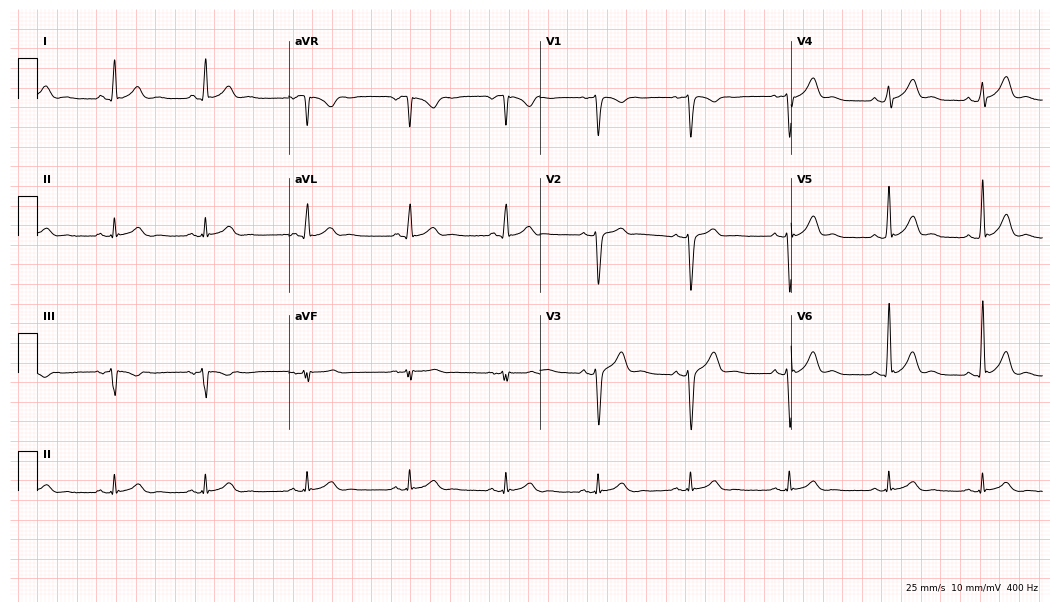
Resting 12-lead electrocardiogram (10.2-second recording at 400 Hz). Patient: a 29-year-old man. Read as a normal ECG.